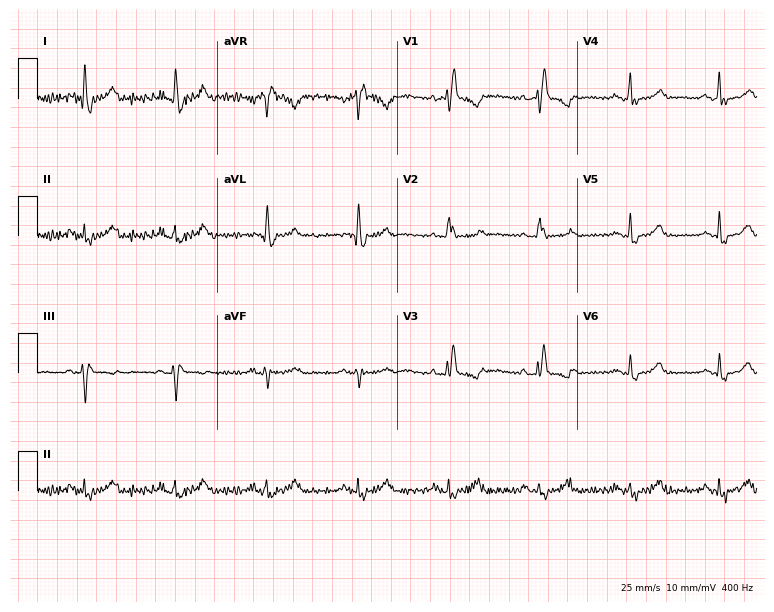
ECG — a female, 61 years old. Findings include right bundle branch block (RBBB).